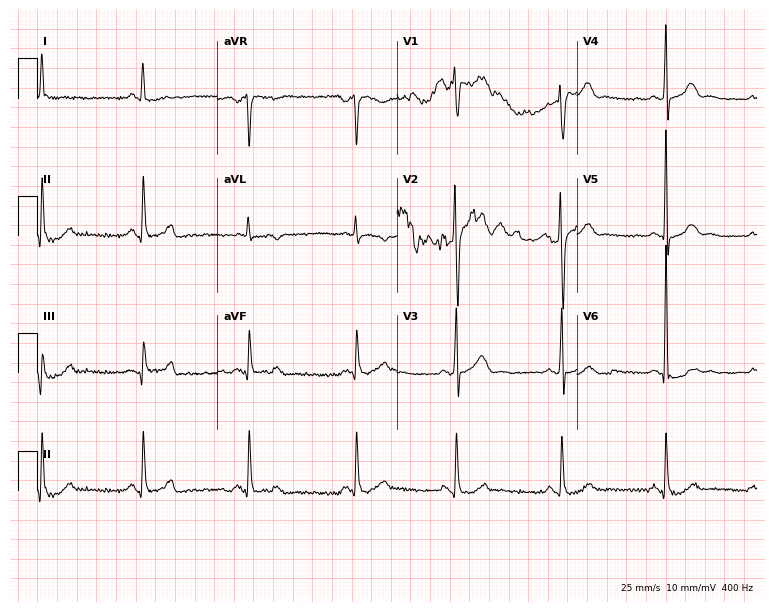
Electrocardiogram, a 58-year-old man. Overall reading on record: normal ECG.